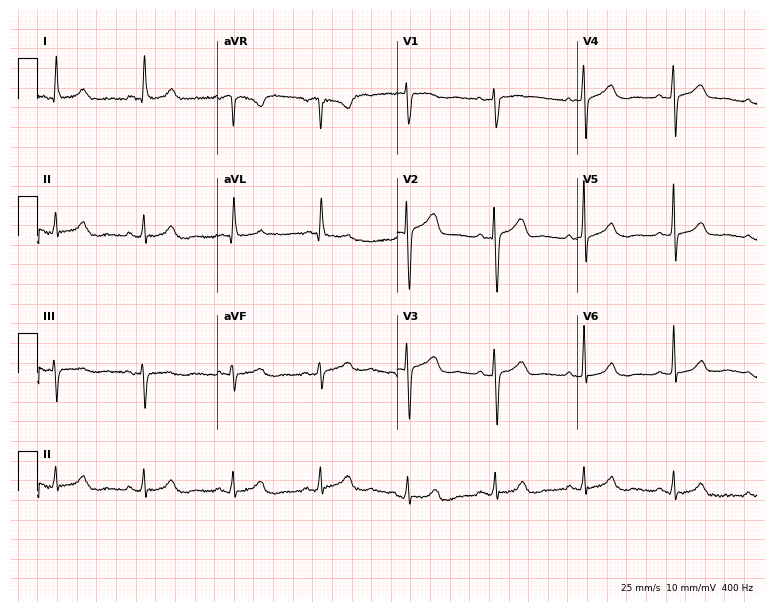
Electrocardiogram (7.3-second recording at 400 Hz), a female, 66 years old. Overall reading on record: normal ECG.